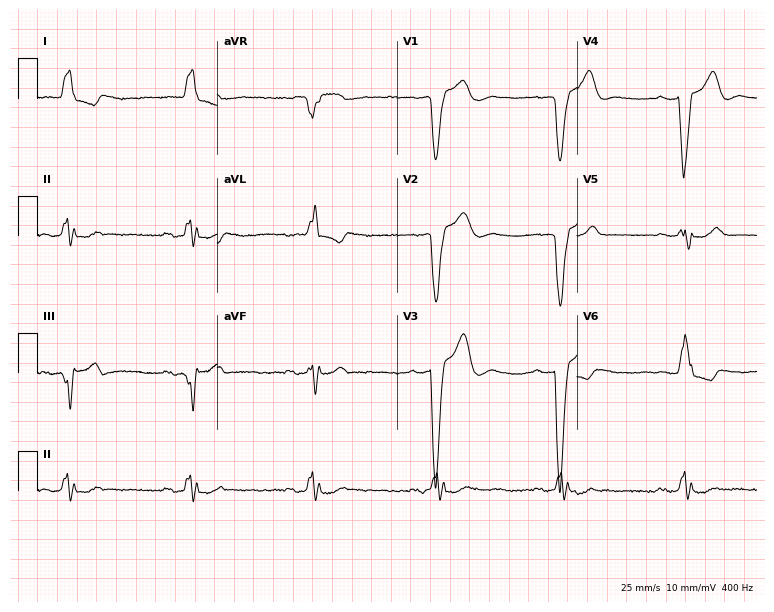
Resting 12-lead electrocardiogram. Patient: a 75-year-old man. The tracing shows first-degree AV block, left bundle branch block, sinus bradycardia (a sinus rate of 50 beats per minute or less).